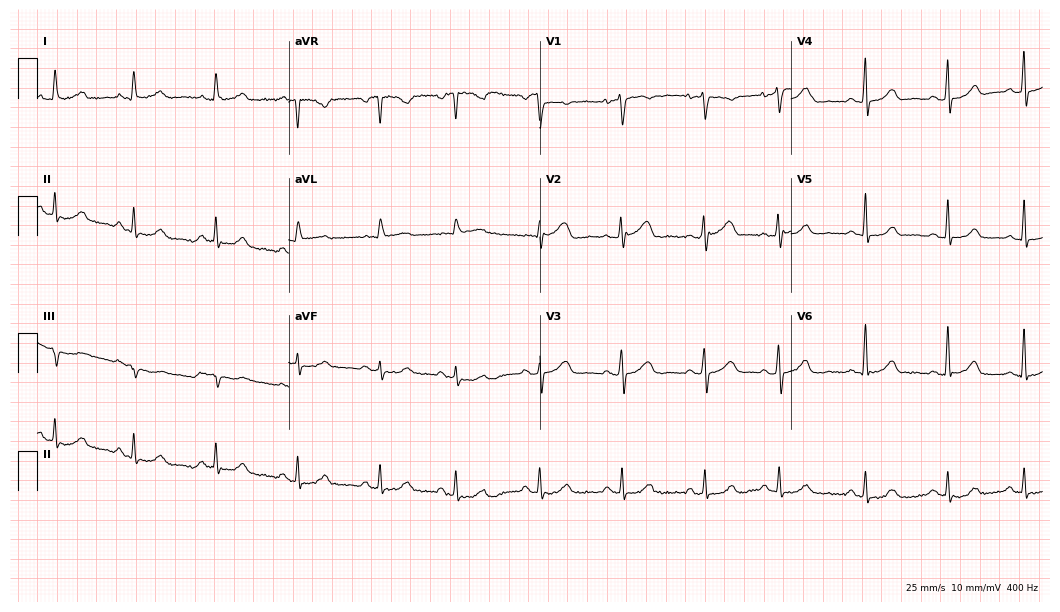
Electrocardiogram (10.2-second recording at 400 Hz), a woman, 63 years old. Overall reading on record: normal ECG.